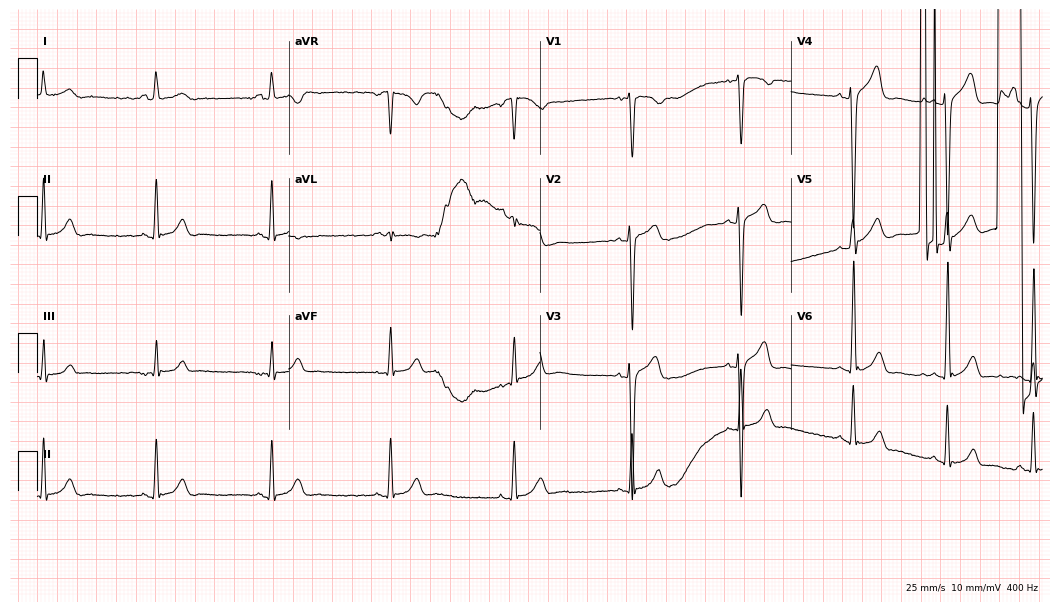
12-lead ECG from a man, 19 years old. Screened for six findings — first-degree AV block, right bundle branch block, left bundle branch block, sinus bradycardia, atrial fibrillation, sinus tachycardia — none is recorded. Findings outside these six are not listed.